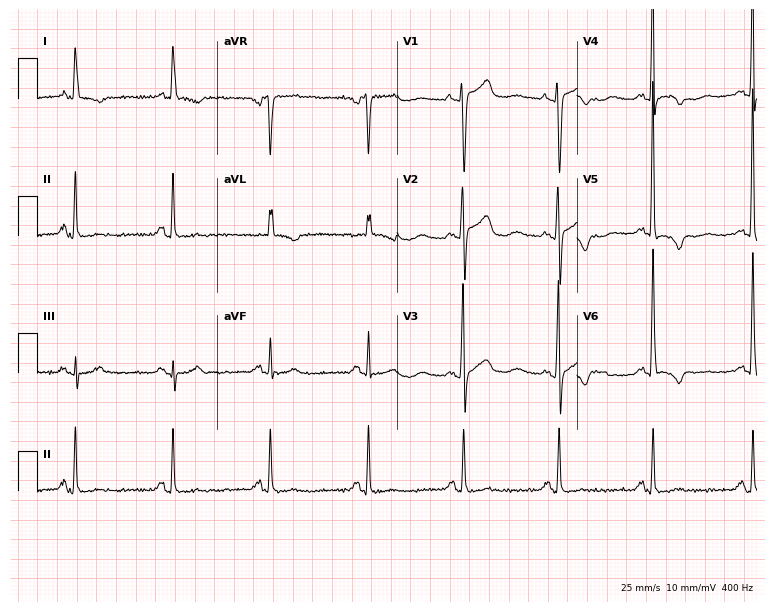
Electrocardiogram, a 71-year-old female patient. Of the six screened findings (first-degree AV block, right bundle branch block (RBBB), left bundle branch block (LBBB), sinus bradycardia, atrial fibrillation (AF), sinus tachycardia), none is recorded.